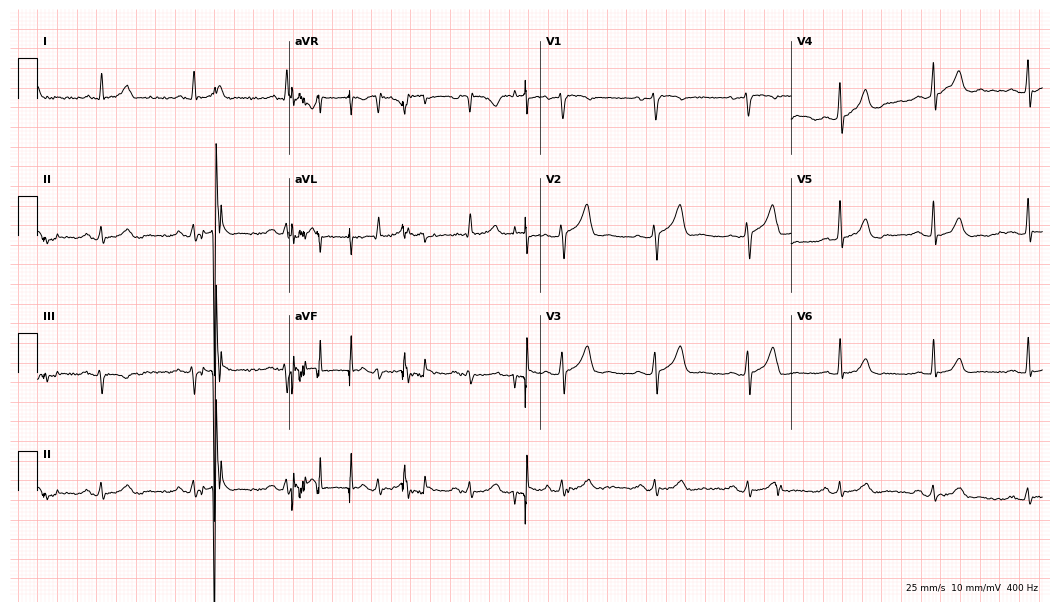
Standard 12-lead ECG recorded from a 47-year-old man (10.2-second recording at 400 Hz). Read as a normal ECG.